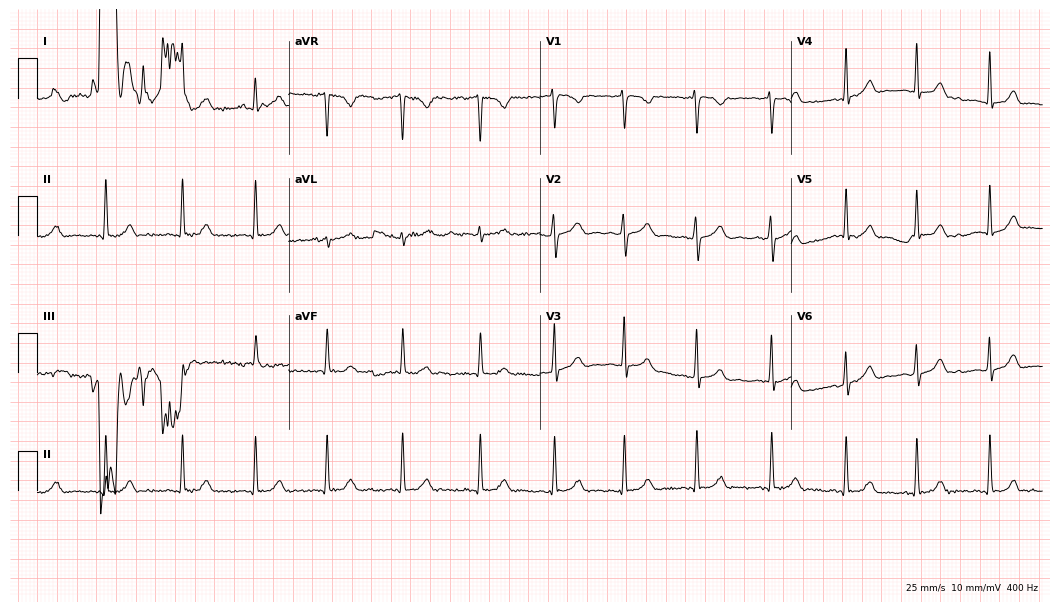
Standard 12-lead ECG recorded from a woman, 22 years old (10.2-second recording at 400 Hz). None of these six findings is recorded: first-degree AV block, right bundle branch block, left bundle branch block, sinus bradycardia, atrial fibrillation, sinus tachycardia.